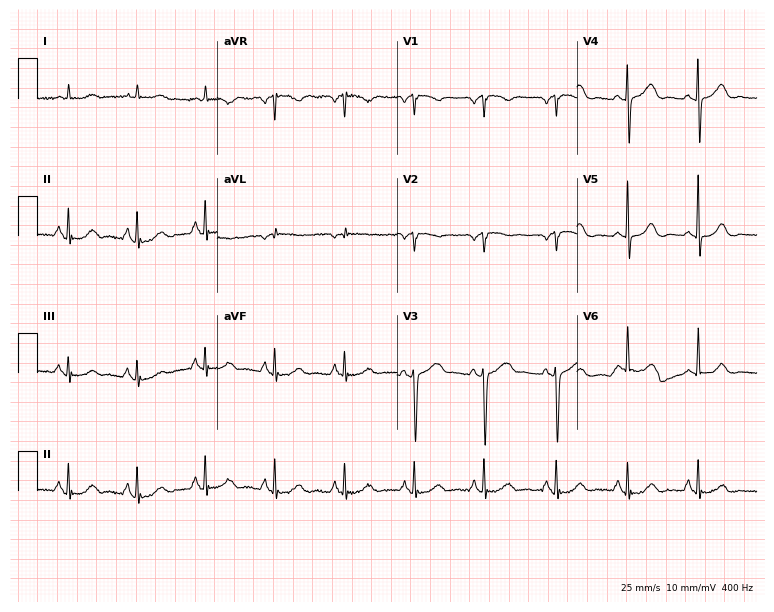
ECG (7.3-second recording at 400 Hz) — a 77-year-old female patient. Screened for six findings — first-degree AV block, right bundle branch block, left bundle branch block, sinus bradycardia, atrial fibrillation, sinus tachycardia — none is recorded.